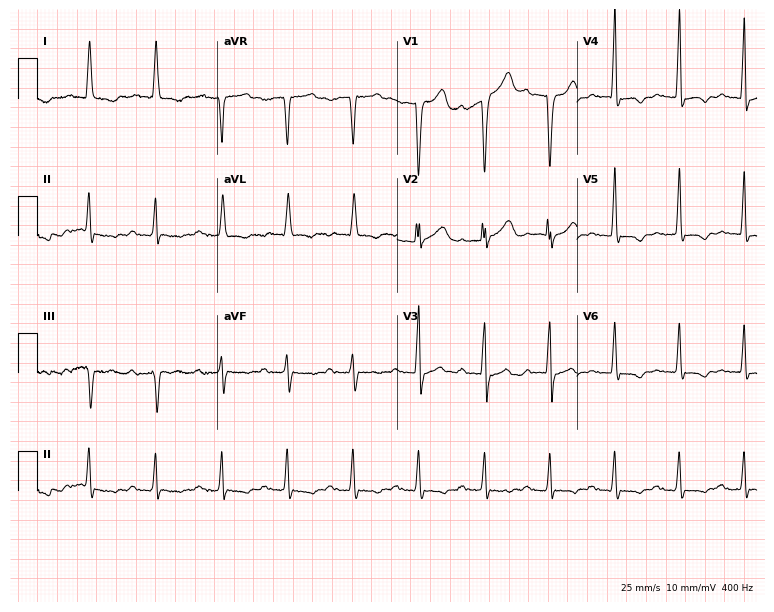
12-lead ECG (7.3-second recording at 400 Hz) from a man, 77 years old. Findings include first-degree AV block.